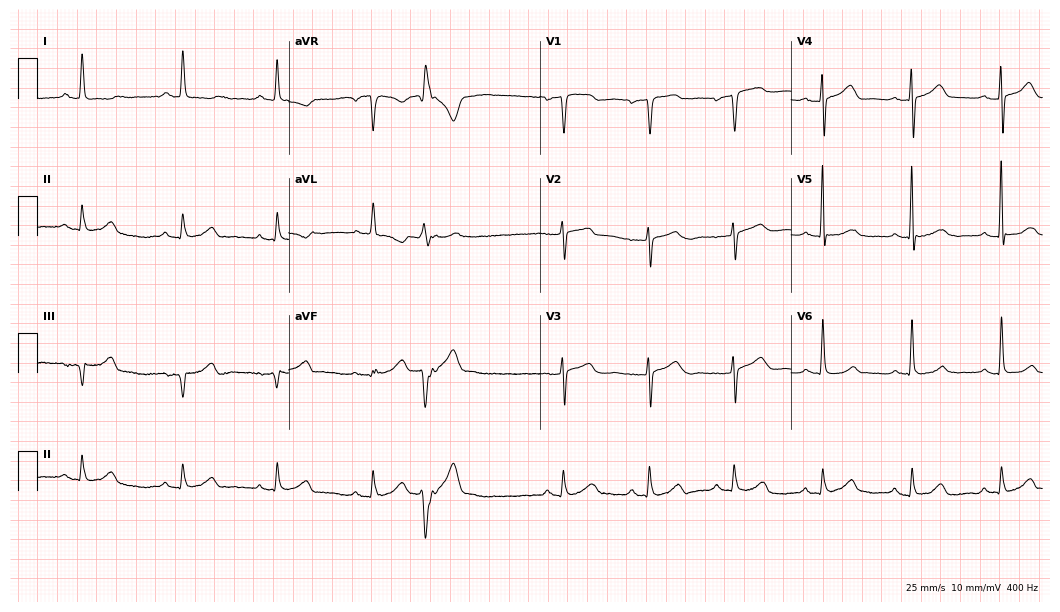
12-lead ECG from an 83-year-old woman. No first-degree AV block, right bundle branch block, left bundle branch block, sinus bradycardia, atrial fibrillation or sinus tachycardia recorded for this tracing.